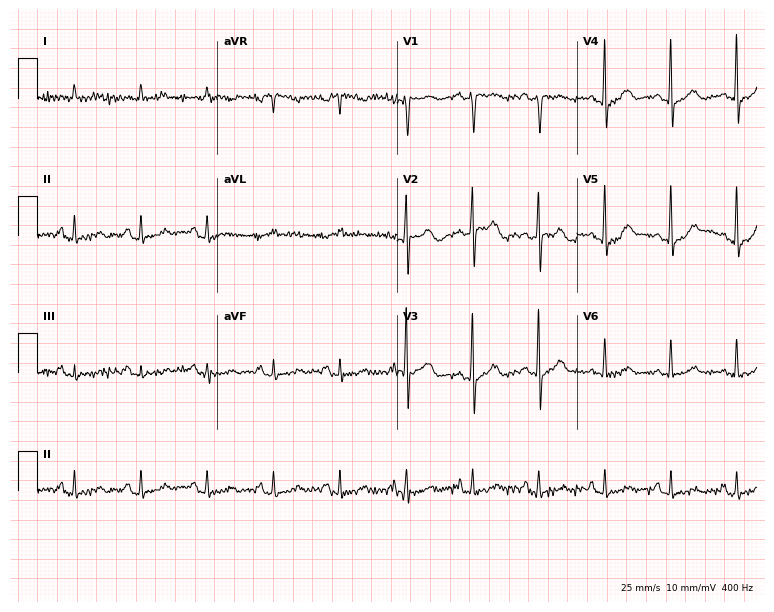
Resting 12-lead electrocardiogram. Patient: a female, 68 years old. Read as a normal ECG.